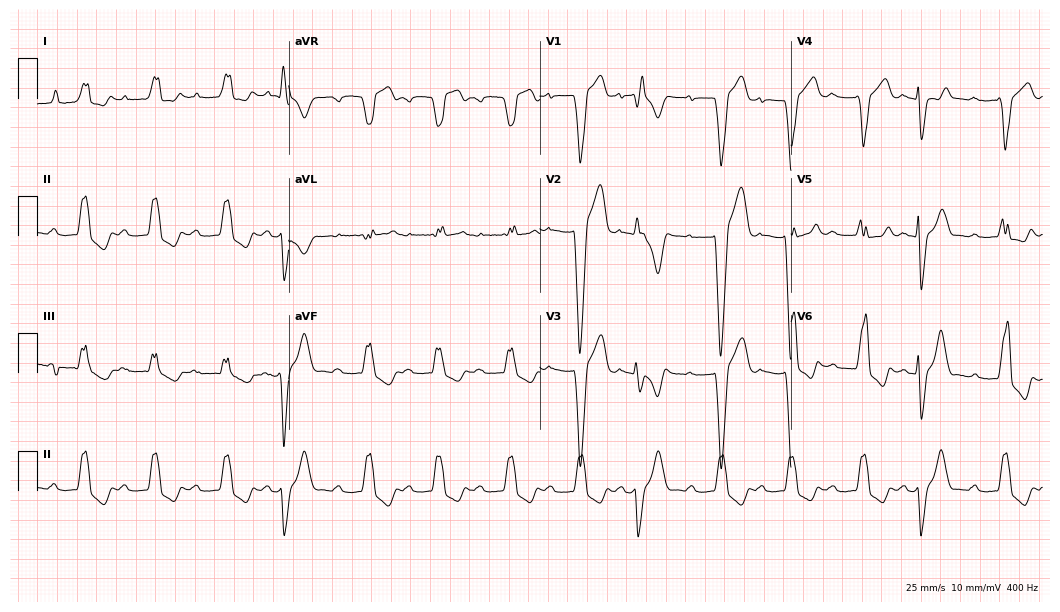
12-lead ECG from a 68-year-old man. Shows first-degree AV block, left bundle branch block.